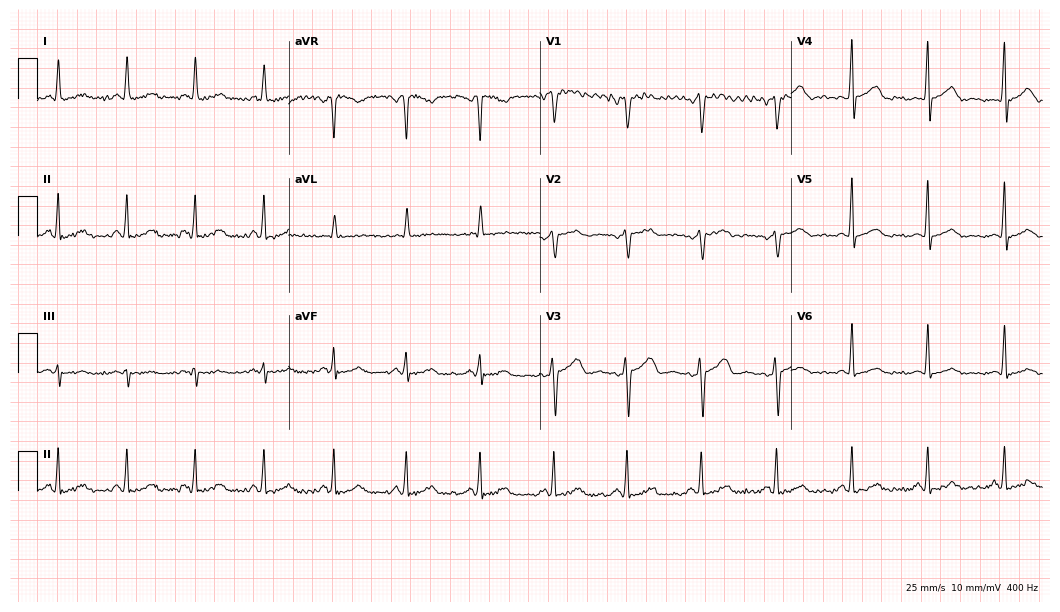
ECG — a 39-year-old female. Labelled as a normal ECG.